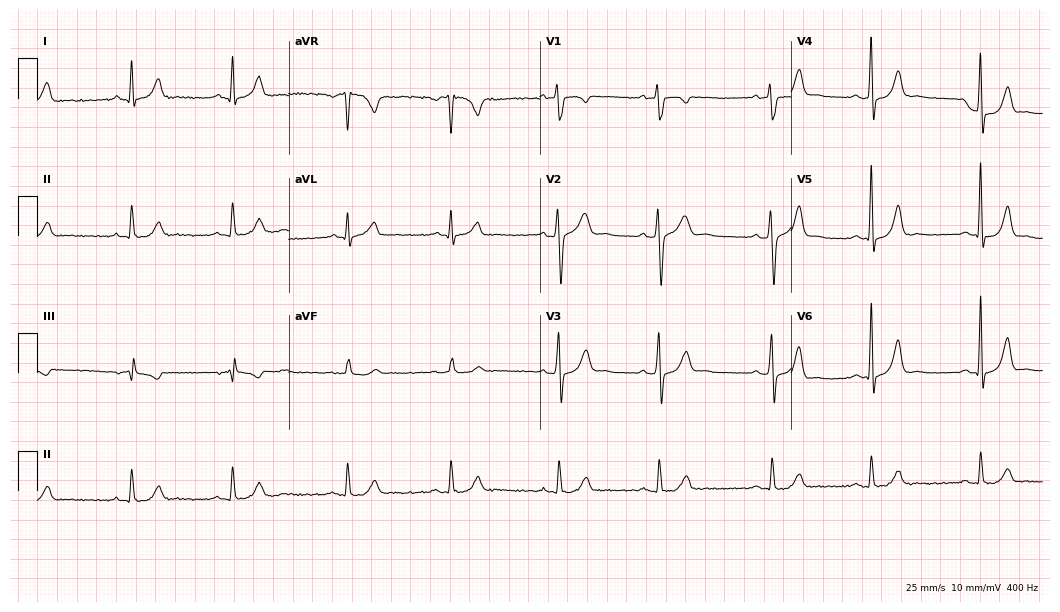
ECG — a 35-year-old male. Labelled as a normal ECG.